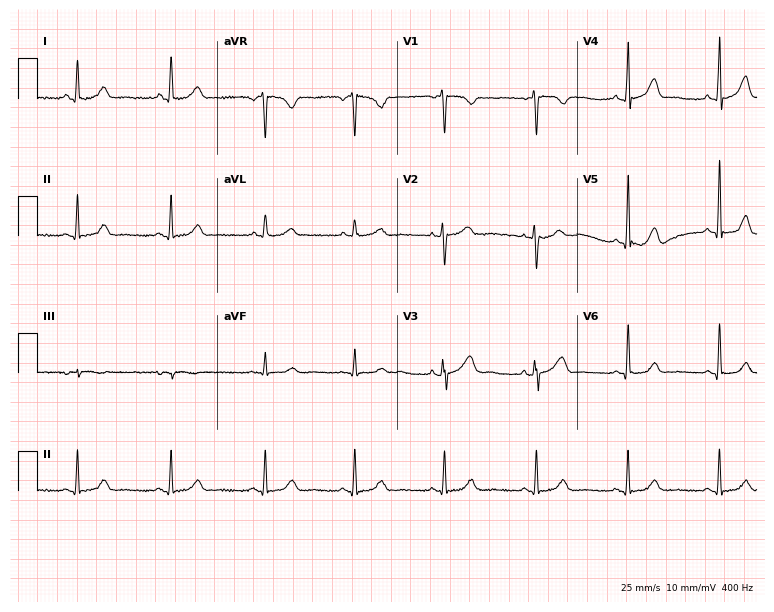
Resting 12-lead electrocardiogram. Patient: a female, 39 years old. Read as a normal ECG.